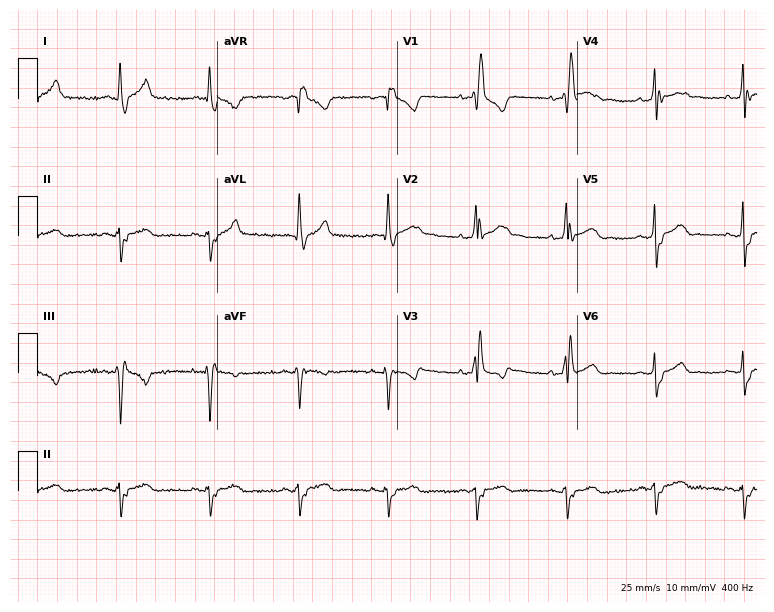
Electrocardiogram (7.3-second recording at 400 Hz), a 49-year-old man. Interpretation includes right bundle branch block (RBBB).